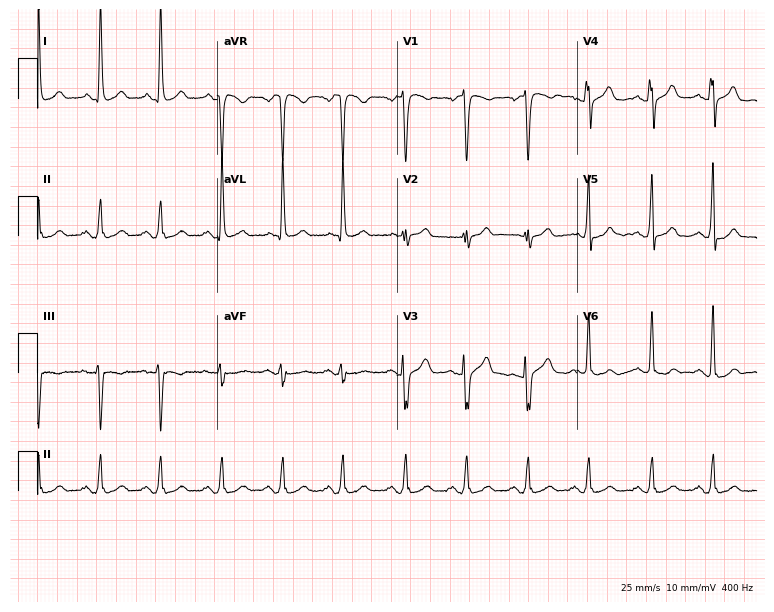
Resting 12-lead electrocardiogram. Patient: a 57-year-old woman. None of these six findings is recorded: first-degree AV block, right bundle branch block, left bundle branch block, sinus bradycardia, atrial fibrillation, sinus tachycardia.